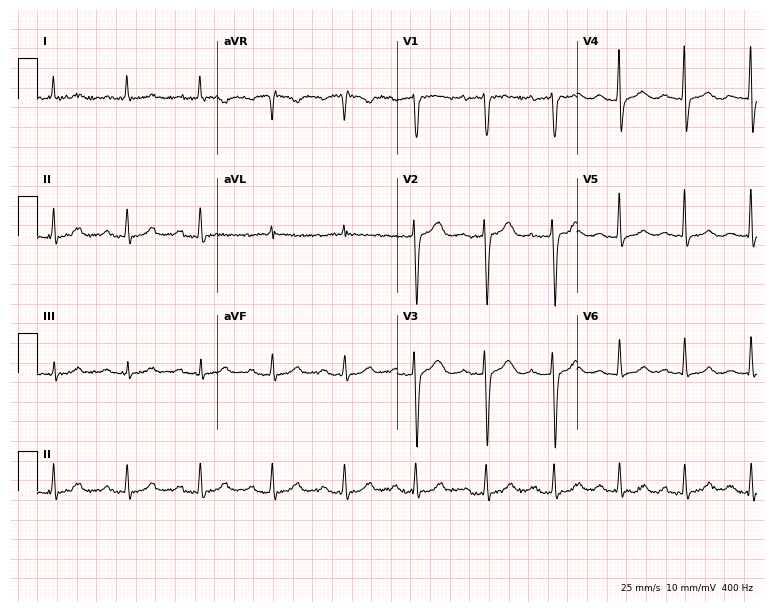
ECG — a 55-year-old female patient. Findings include first-degree AV block.